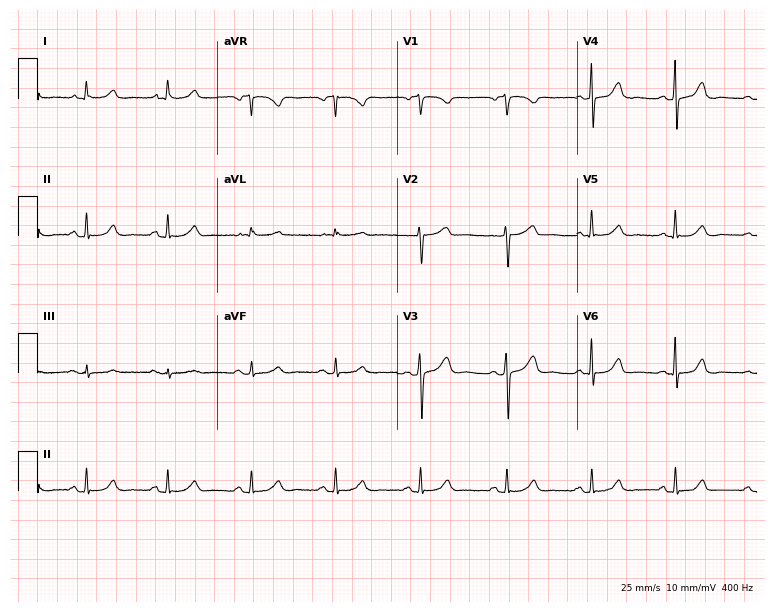
Resting 12-lead electrocardiogram (7.3-second recording at 400 Hz). Patient: a female, 63 years old. Read as a normal ECG.